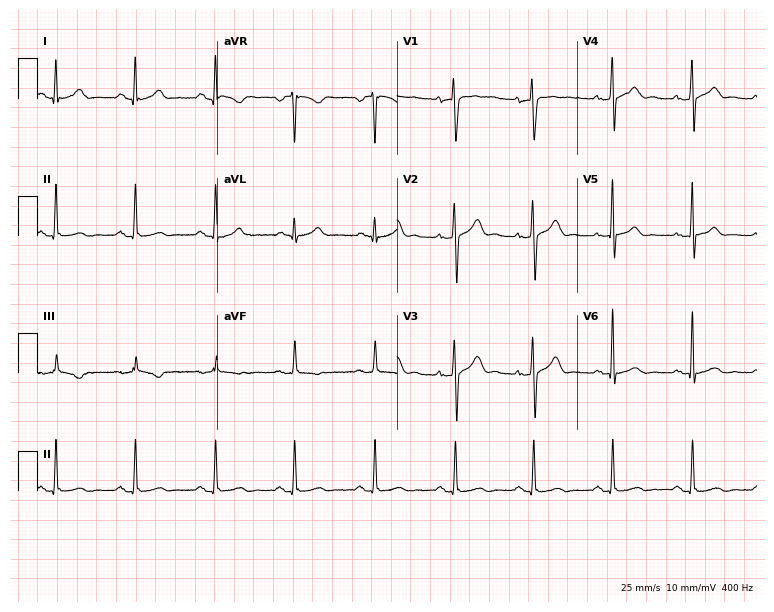
Electrocardiogram (7.3-second recording at 400 Hz), a 37-year-old man. Of the six screened findings (first-degree AV block, right bundle branch block (RBBB), left bundle branch block (LBBB), sinus bradycardia, atrial fibrillation (AF), sinus tachycardia), none is recorded. Other findings, if any, are not listed.